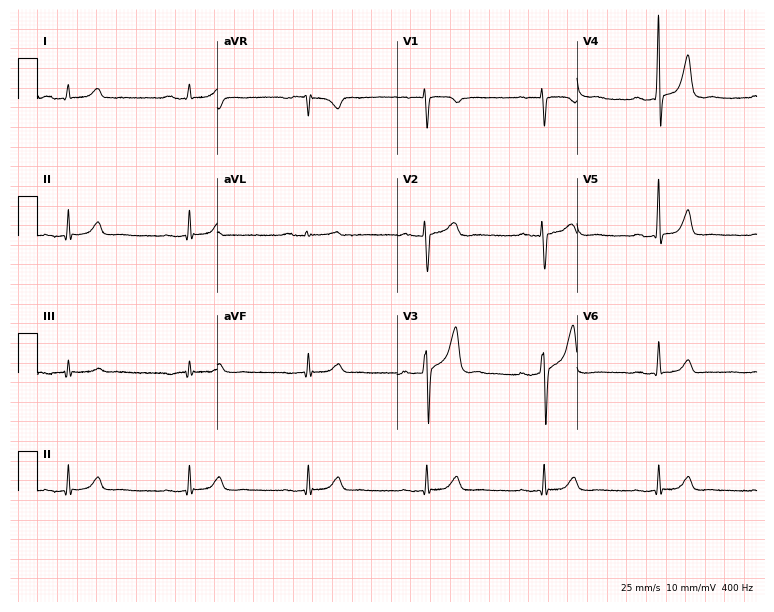
Resting 12-lead electrocardiogram. Patient: a 63-year-old woman. The tracing shows first-degree AV block, right bundle branch block (RBBB), sinus bradycardia (a sinus rate of 50 beats per minute or less).